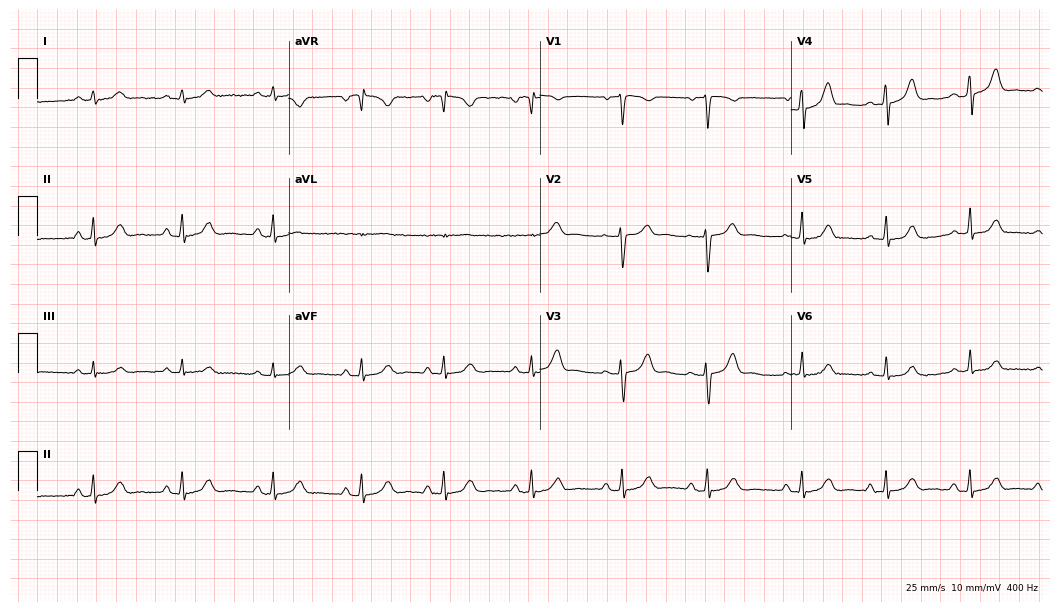
12-lead ECG from a 24-year-old female patient. Recorded interpretation: within normal limits.